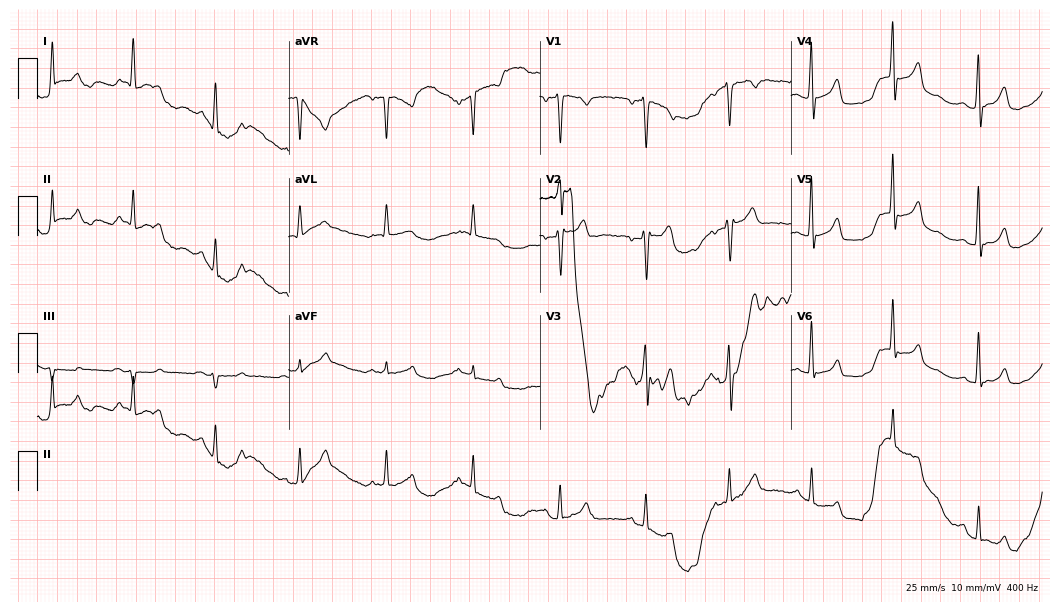
Standard 12-lead ECG recorded from a 34-year-old male patient. None of these six findings is recorded: first-degree AV block, right bundle branch block, left bundle branch block, sinus bradycardia, atrial fibrillation, sinus tachycardia.